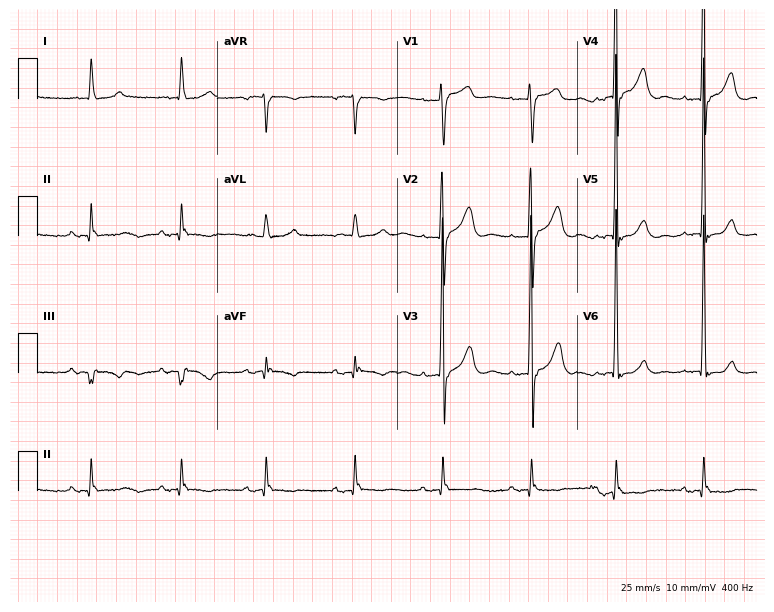
Standard 12-lead ECG recorded from a 76-year-old male patient (7.3-second recording at 400 Hz). None of these six findings is recorded: first-degree AV block, right bundle branch block (RBBB), left bundle branch block (LBBB), sinus bradycardia, atrial fibrillation (AF), sinus tachycardia.